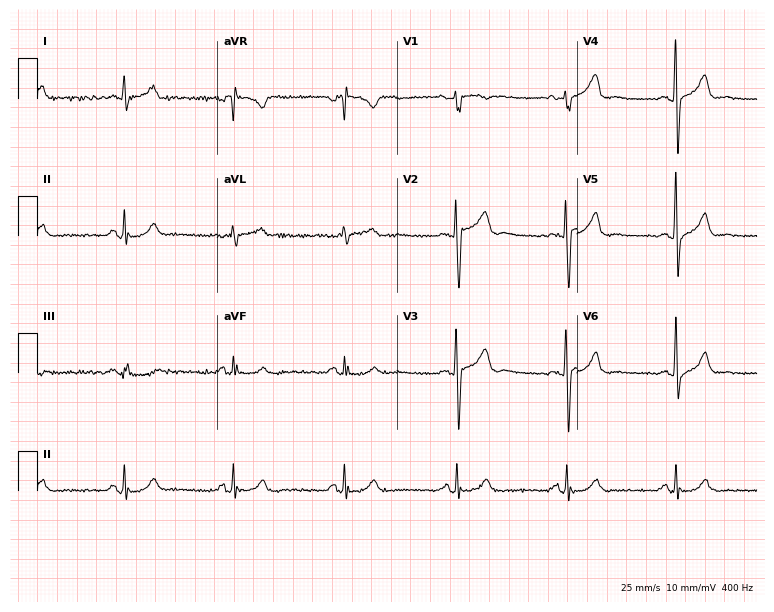
Resting 12-lead electrocardiogram (7.3-second recording at 400 Hz). Patient: a 60-year-old man. None of these six findings is recorded: first-degree AV block, right bundle branch block, left bundle branch block, sinus bradycardia, atrial fibrillation, sinus tachycardia. Other findings, if any, are not listed.